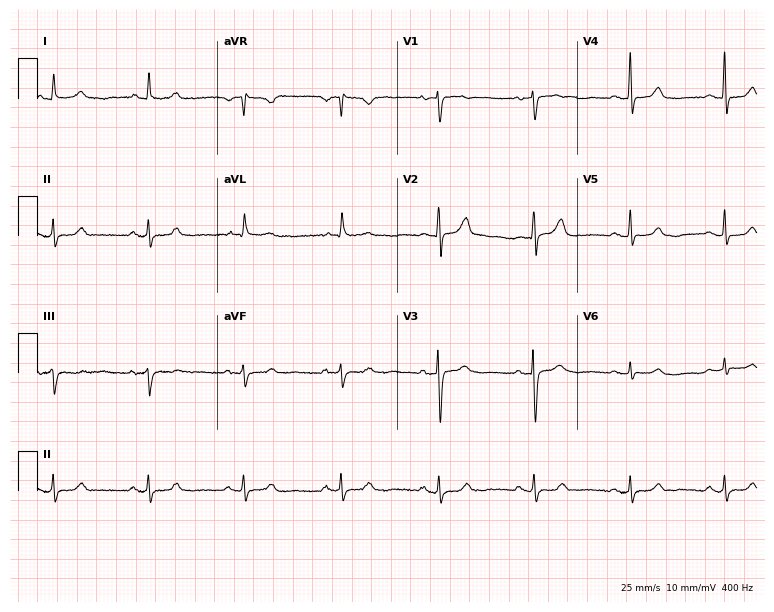
ECG — a 75-year-old female. Screened for six findings — first-degree AV block, right bundle branch block, left bundle branch block, sinus bradycardia, atrial fibrillation, sinus tachycardia — none is recorded. Other findings, if any, are not listed.